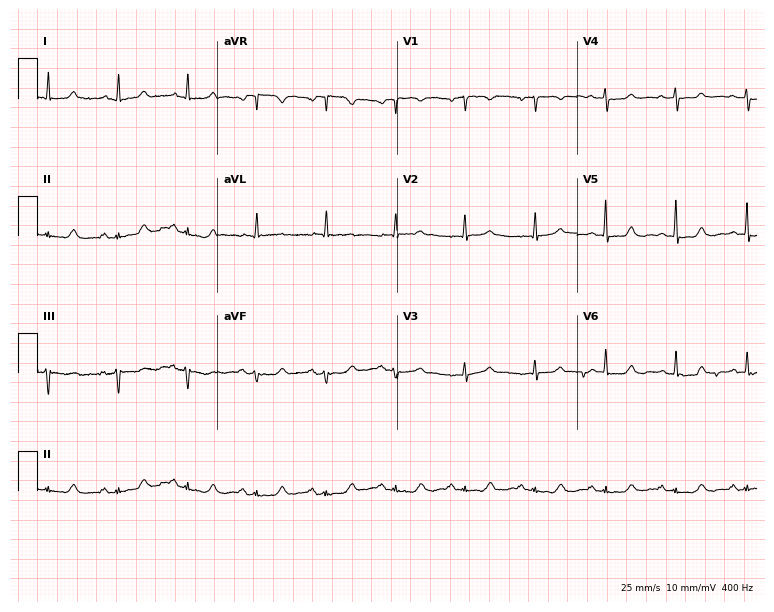
Electrocardiogram (7.3-second recording at 400 Hz), a female patient, 73 years old. Overall reading on record: normal ECG.